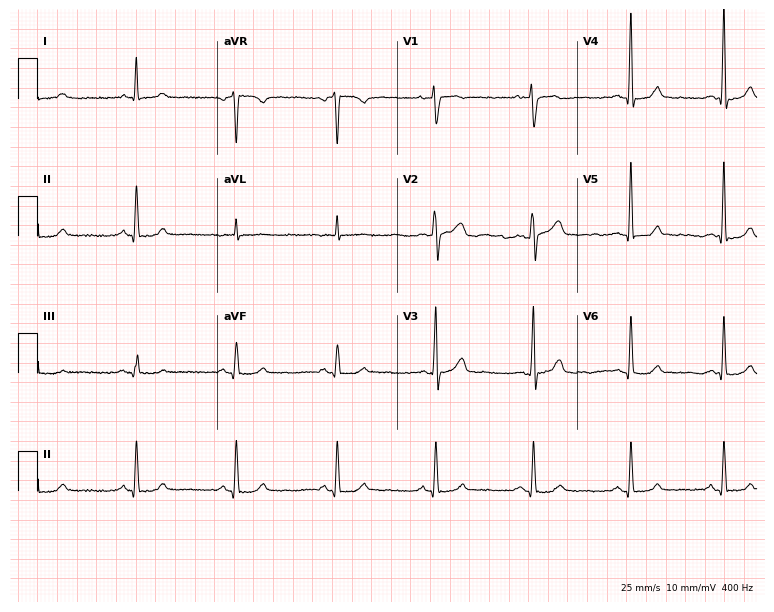
12-lead ECG from a 49-year-old woman. Screened for six findings — first-degree AV block, right bundle branch block (RBBB), left bundle branch block (LBBB), sinus bradycardia, atrial fibrillation (AF), sinus tachycardia — none is recorded. Findings outside these six are not listed.